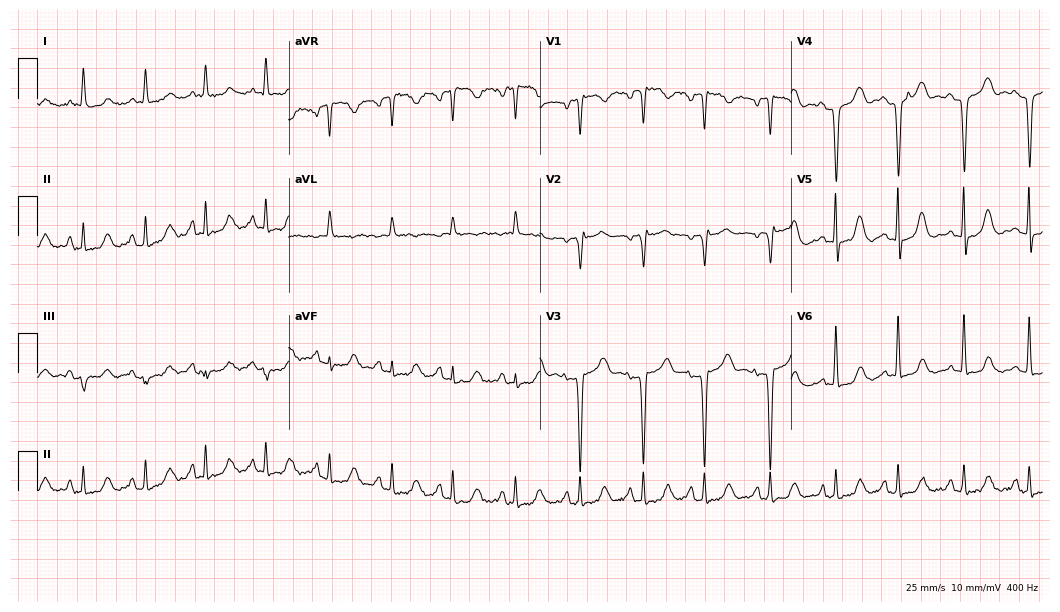
Resting 12-lead electrocardiogram (10.2-second recording at 400 Hz). Patient: a female, 69 years old. None of these six findings is recorded: first-degree AV block, right bundle branch block (RBBB), left bundle branch block (LBBB), sinus bradycardia, atrial fibrillation (AF), sinus tachycardia.